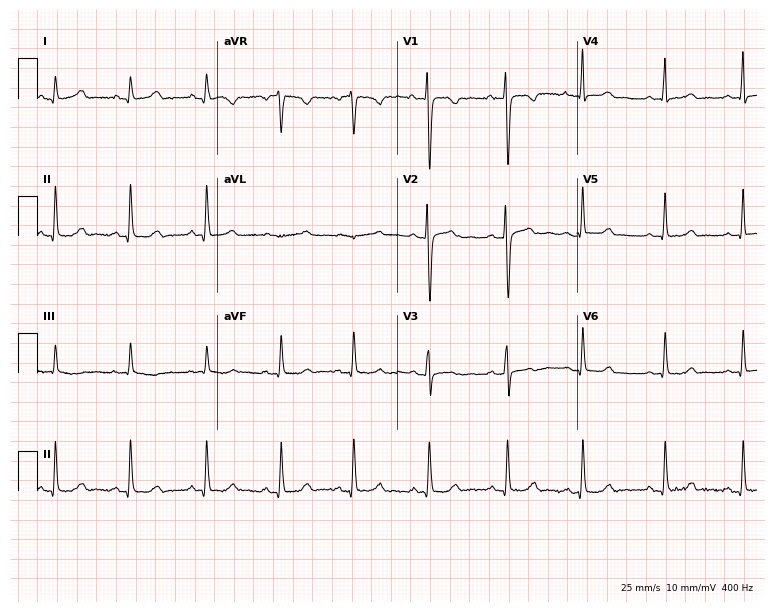
Standard 12-lead ECG recorded from a woman, 19 years old. Read as a normal ECG.